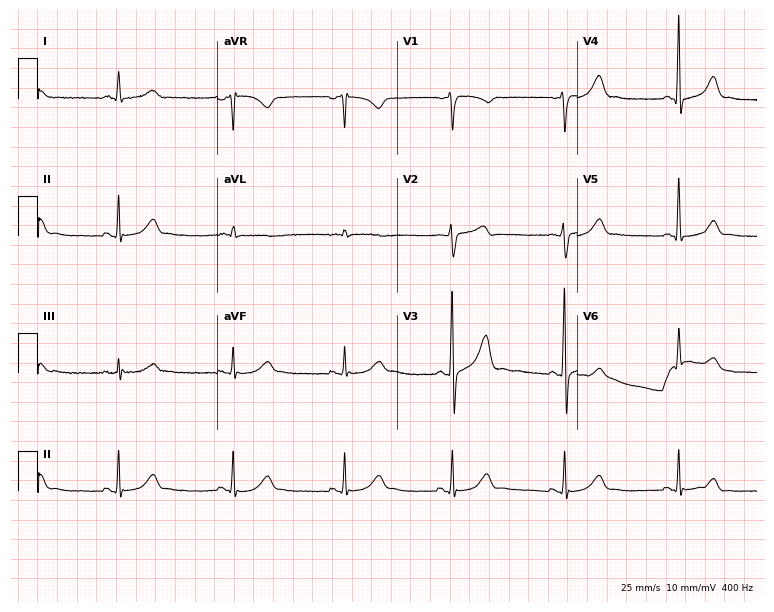
12-lead ECG from a 48-year-old male patient. Labelled as a normal ECG.